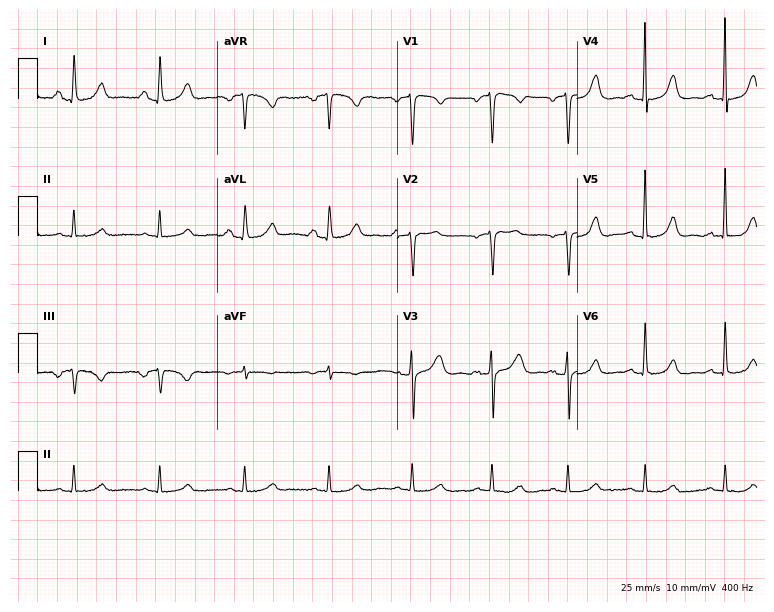
12-lead ECG from a 68-year-old female (7.3-second recording at 400 Hz). Recorded interpretation: within normal limits.